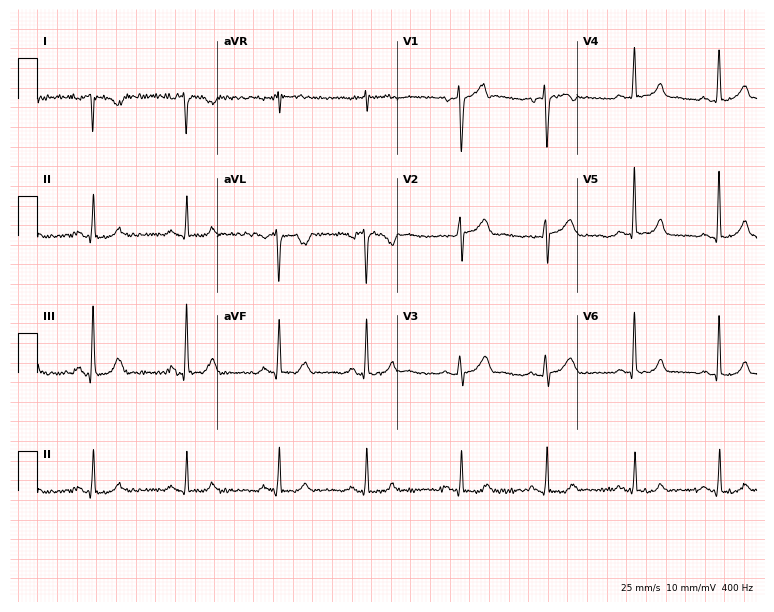
ECG — a man, 34 years old. Screened for six findings — first-degree AV block, right bundle branch block (RBBB), left bundle branch block (LBBB), sinus bradycardia, atrial fibrillation (AF), sinus tachycardia — none is recorded.